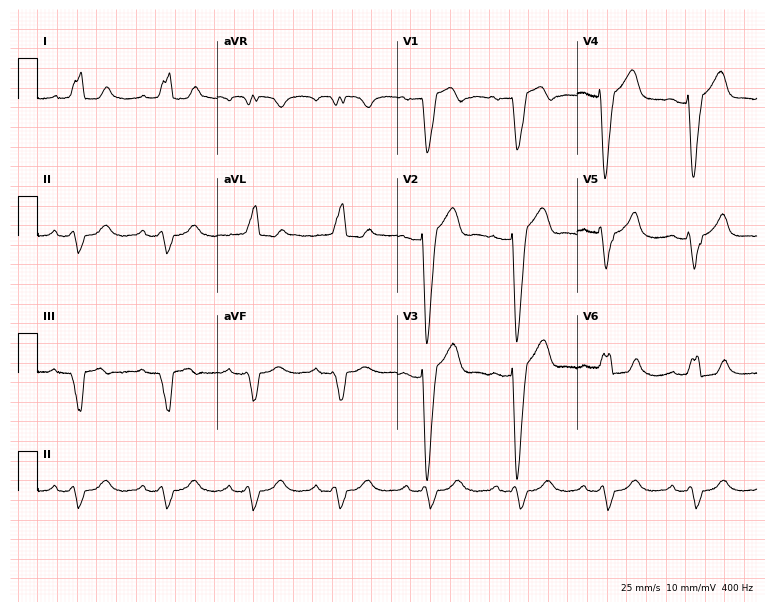
12-lead ECG from a female, 84 years old. Findings include first-degree AV block, left bundle branch block.